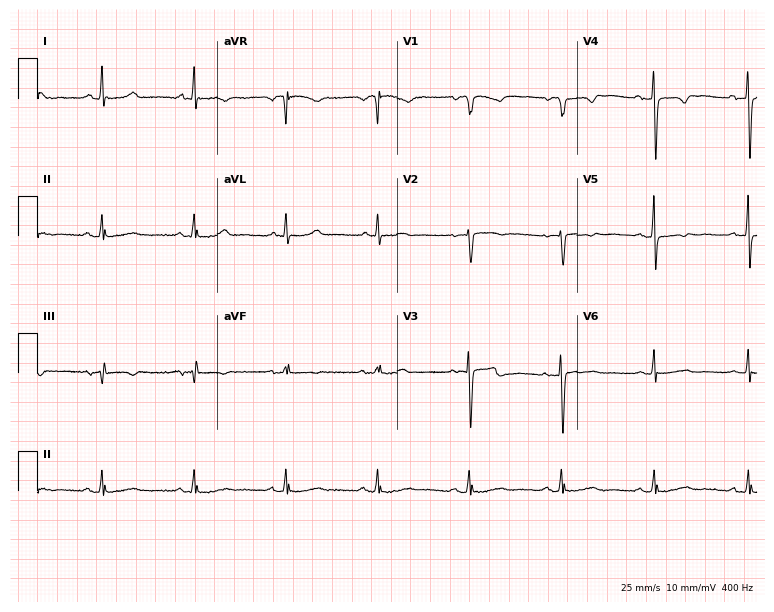
Electrocardiogram (7.3-second recording at 400 Hz), a woman, 57 years old. Of the six screened findings (first-degree AV block, right bundle branch block, left bundle branch block, sinus bradycardia, atrial fibrillation, sinus tachycardia), none is recorded. Only these six findings were labelled.